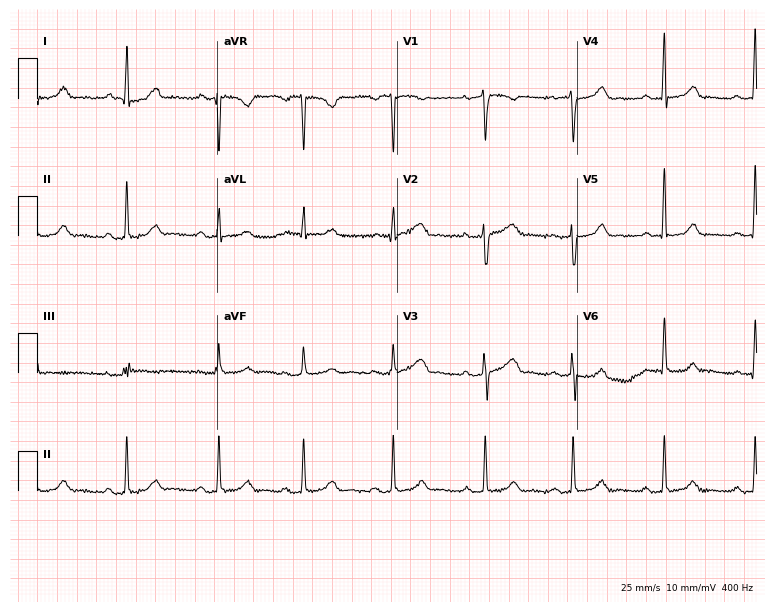
12-lead ECG (7.3-second recording at 400 Hz) from a woman, 38 years old. Findings include first-degree AV block.